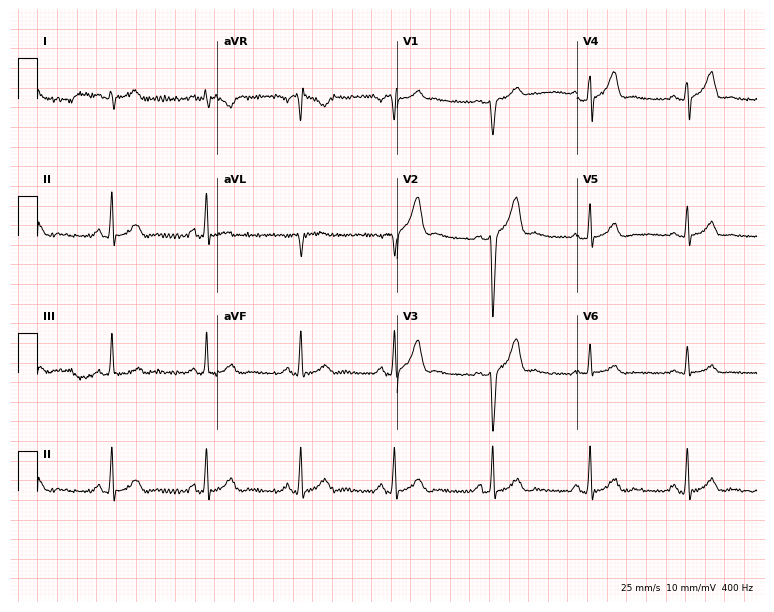
Electrocardiogram, a 24-year-old male. Of the six screened findings (first-degree AV block, right bundle branch block, left bundle branch block, sinus bradycardia, atrial fibrillation, sinus tachycardia), none is recorded. Other findings, if any, are not listed.